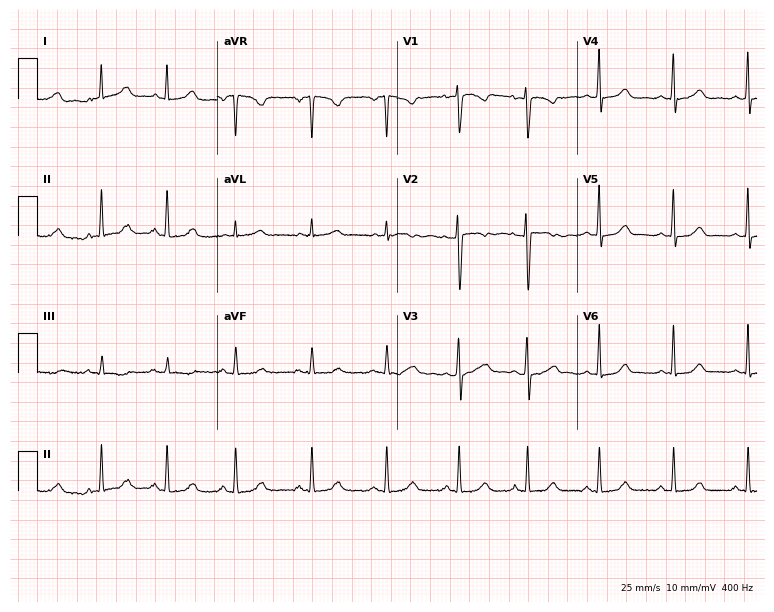
12-lead ECG from a woman, 33 years old. Screened for six findings — first-degree AV block, right bundle branch block, left bundle branch block, sinus bradycardia, atrial fibrillation, sinus tachycardia — none is recorded. Other findings, if any, are not listed.